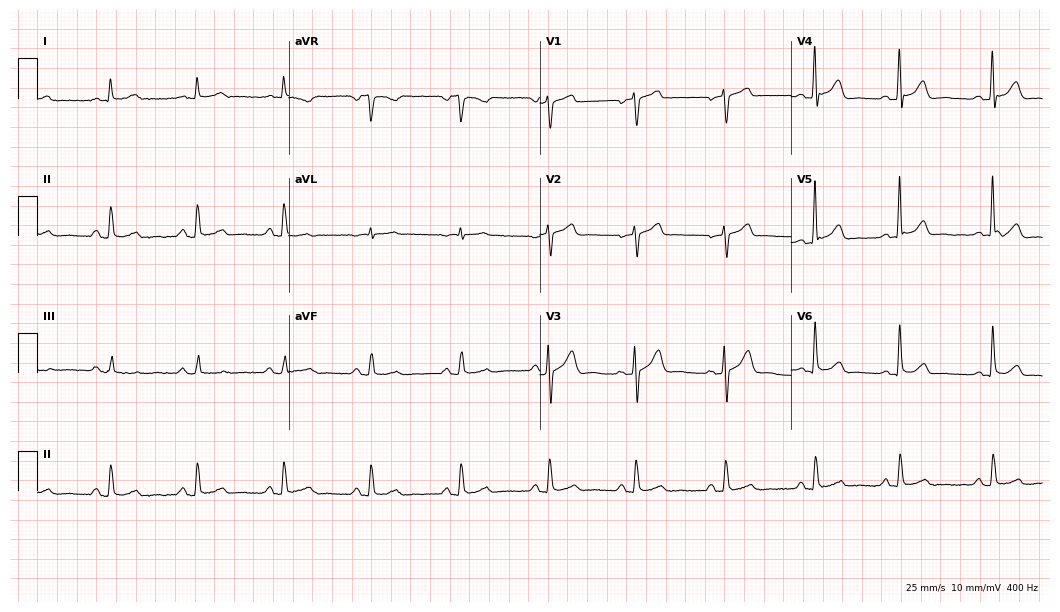
12-lead ECG from a male, 70 years old (10.2-second recording at 400 Hz). Recorded interpretation: within normal limits.